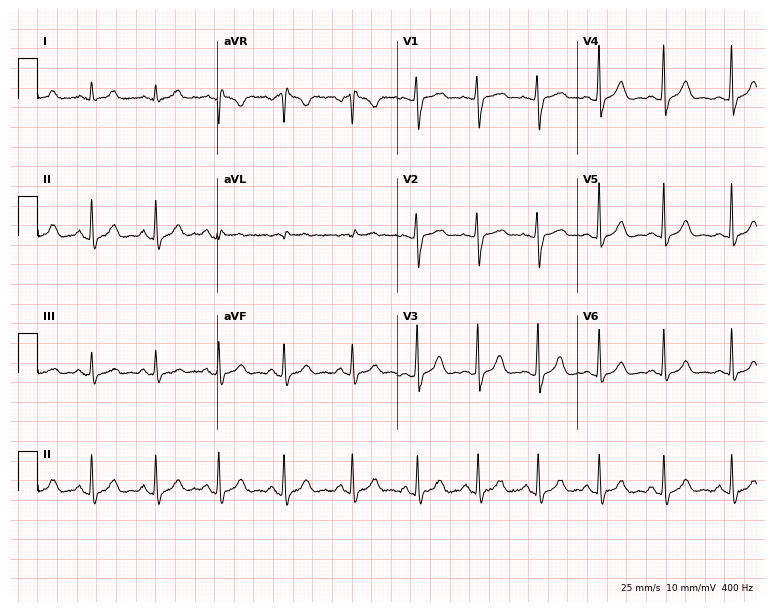
Electrocardiogram, a female patient, 25 years old. Overall reading on record: normal ECG.